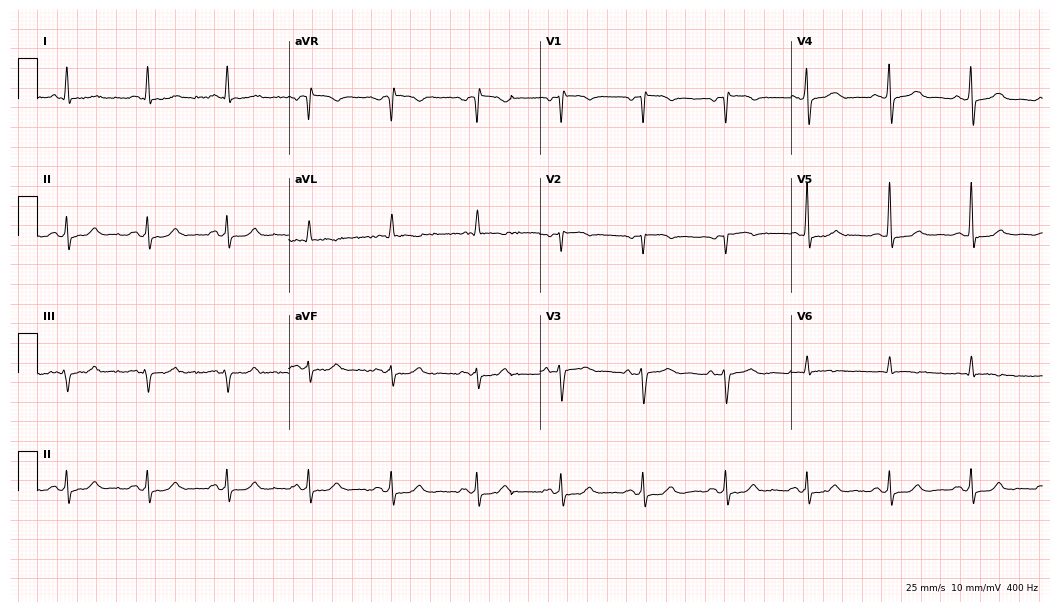
Electrocardiogram (10.2-second recording at 400 Hz), a male patient, 80 years old. Of the six screened findings (first-degree AV block, right bundle branch block (RBBB), left bundle branch block (LBBB), sinus bradycardia, atrial fibrillation (AF), sinus tachycardia), none is recorded.